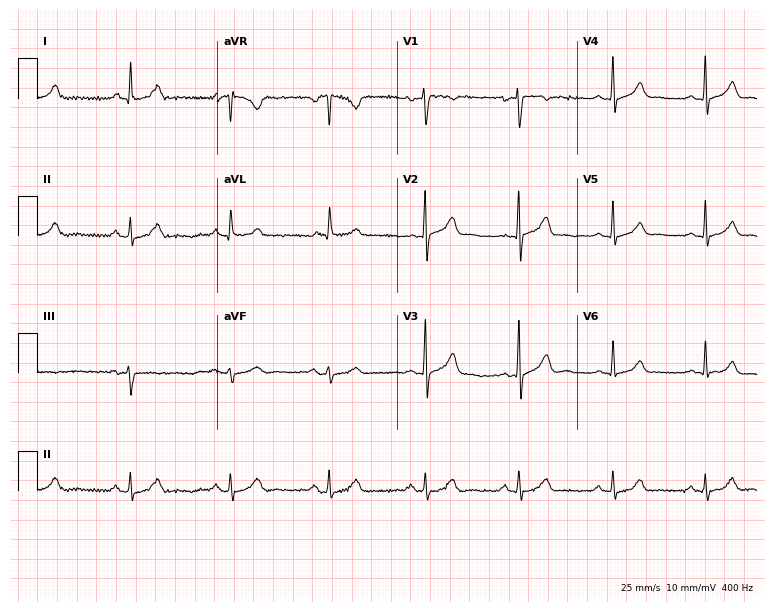
ECG — a male, 39 years old. Screened for six findings — first-degree AV block, right bundle branch block (RBBB), left bundle branch block (LBBB), sinus bradycardia, atrial fibrillation (AF), sinus tachycardia — none is recorded. Findings outside these six are not listed.